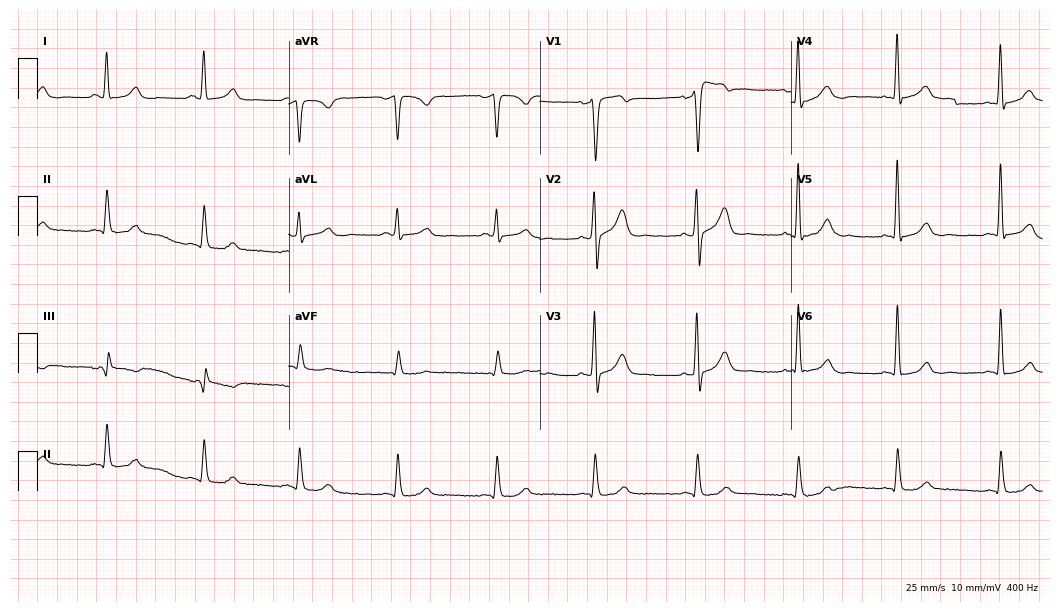
12-lead ECG from a 48-year-old male. No first-degree AV block, right bundle branch block, left bundle branch block, sinus bradycardia, atrial fibrillation or sinus tachycardia recorded for this tracing.